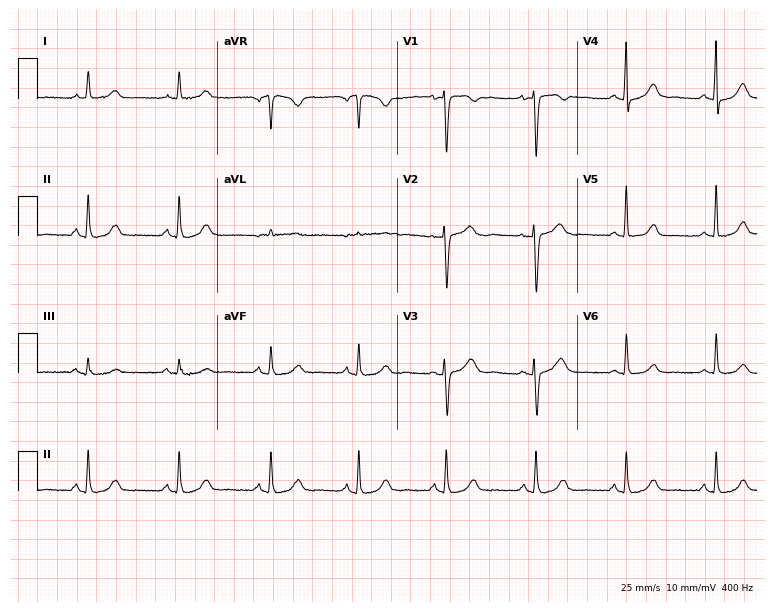
Standard 12-lead ECG recorded from a 46-year-old female patient (7.3-second recording at 400 Hz). Read as a normal ECG.